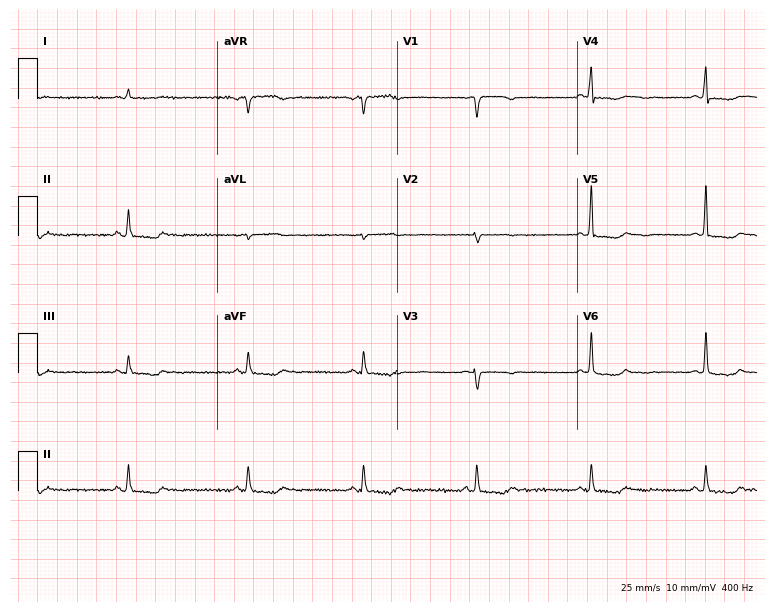
Standard 12-lead ECG recorded from a woman, 75 years old. None of these six findings is recorded: first-degree AV block, right bundle branch block (RBBB), left bundle branch block (LBBB), sinus bradycardia, atrial fibrillation (AF), sinus tachycardia. Other findings, if any, are not listed.